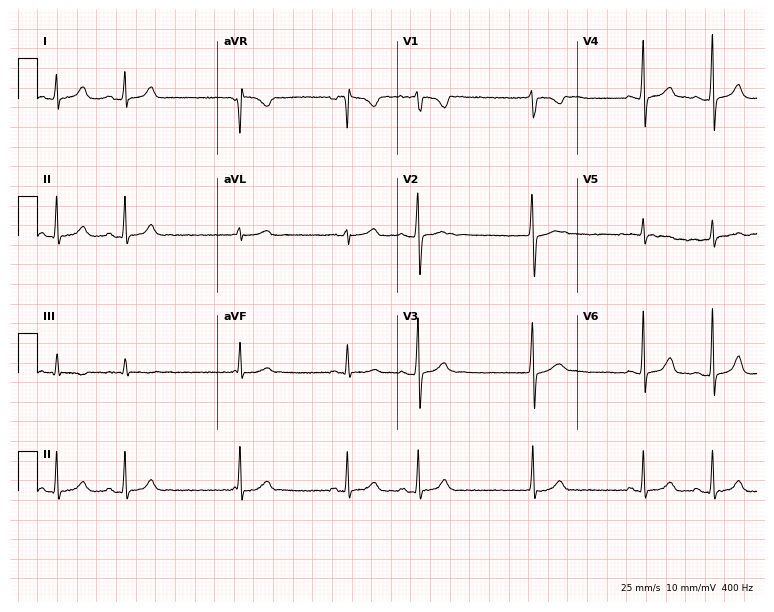
Electrocardiogram, a 20-year-old female patient. Overall reading on record: normal ECG.